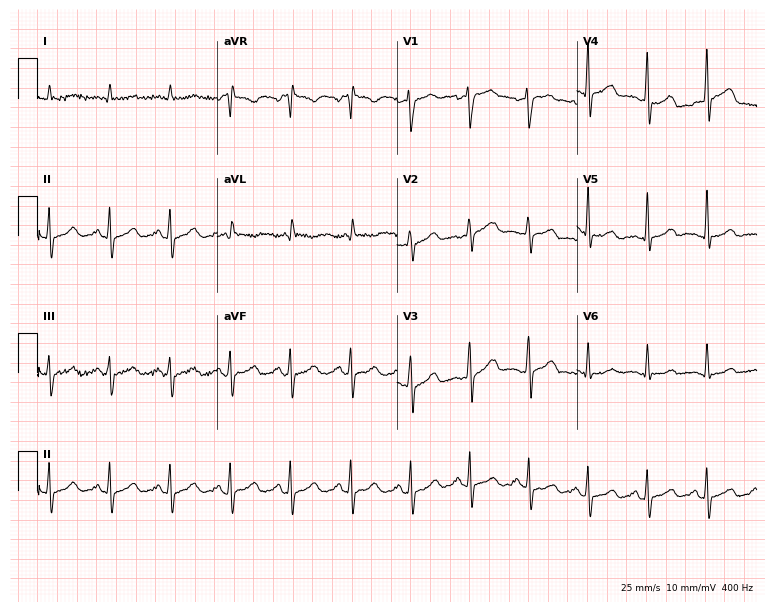
ECG (7.3-second recording at 400 Hz) — a 69-year-old male. Screened for six findings — first-degree AV block, right bundle branch block, left bundle branch block, sinus bradycardia, atrial fibrillation, sinus tachycardia — none is recorded. Other findings, if any, are not listed.